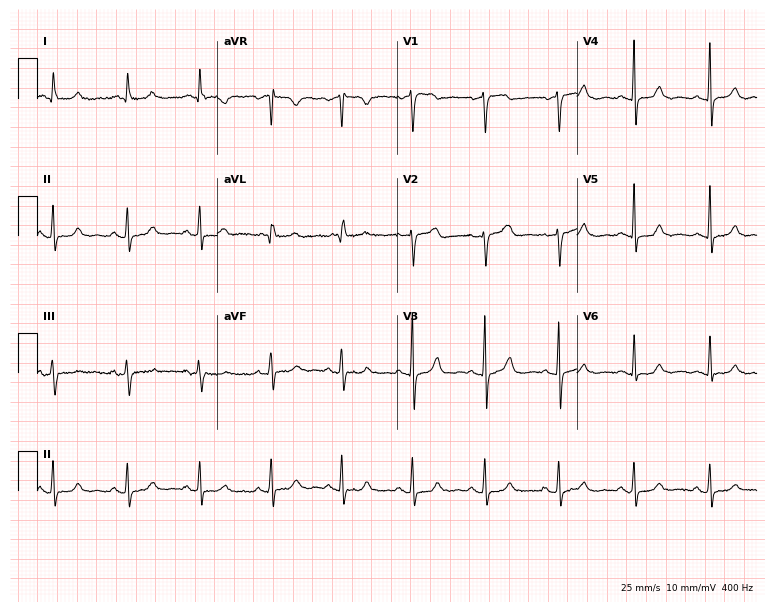
Standard 12-lead ECG recorded from a 78-year-old female. None of these six findings is recorded: first-degree AV block, right bundle branch block (RBBB), left bundle branch block (LBBB), sinus bradycardia, atrial fibrillation (AF), sinus tachycardia. Other findings, if any, are not listed.